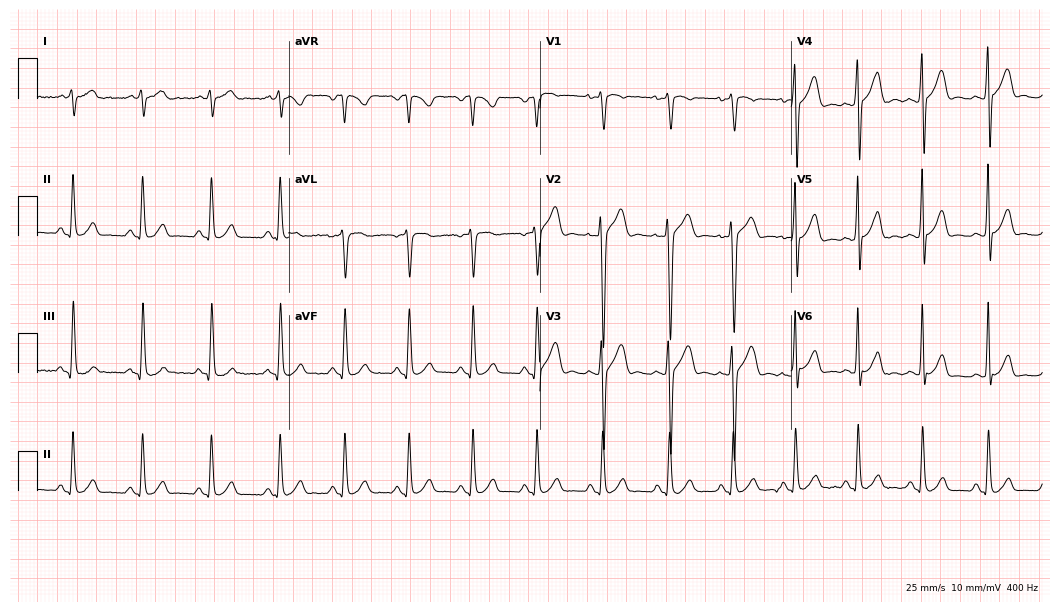
Resting 12-lead electrocardiogram. Patient: a 25-year-old man. None of these six findings is recorded: first-degree AV block, right bundle branch block, left bundle branch block, sinus bradycardia, atrial fibrillation, sinus tachycardia.